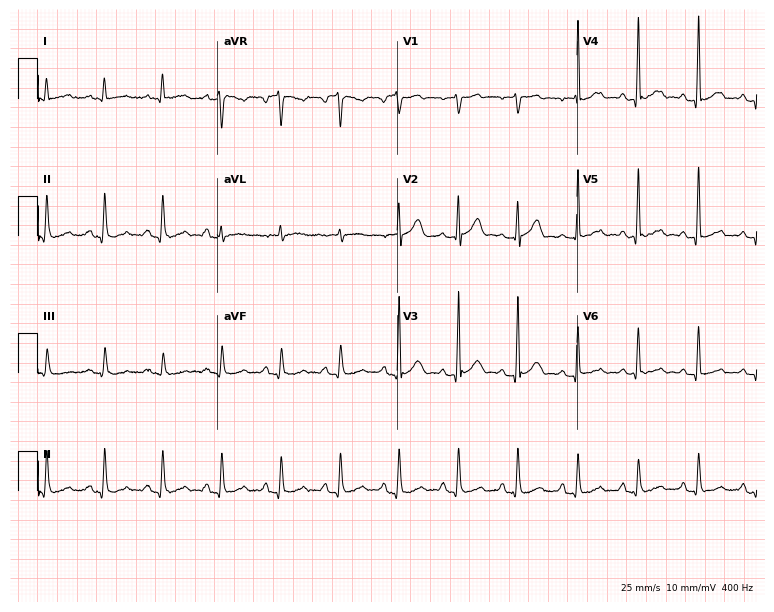
Electrocardiogram, a man, 48 years old. Of the six screened findings (first-degree AV block, right bundle branch block (RBBB), left bundle branch block (LBBB), sinus bradycardia, atrial fibrillation (AF), sinus tachycardia), none is recorded. Other findings, if any, are not listed.